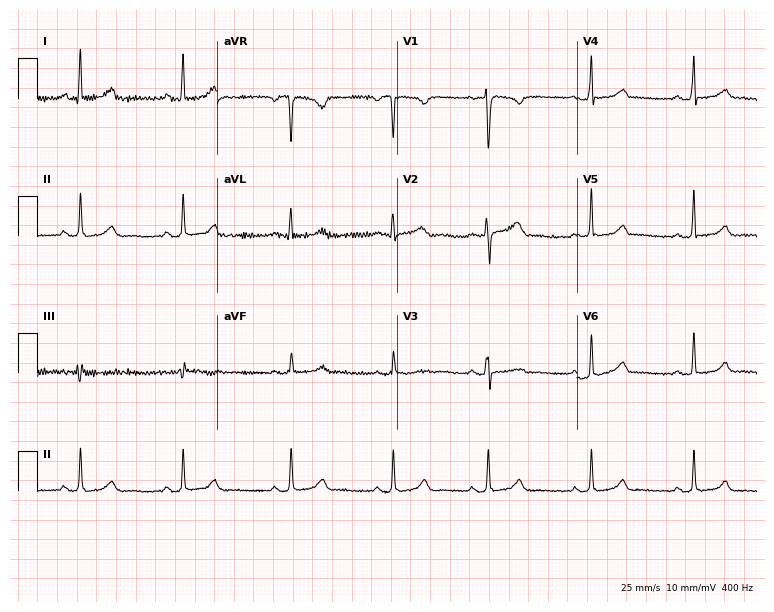
Electrocardiogram, a female, 43 years old. Overall reading on record: normal ECG.